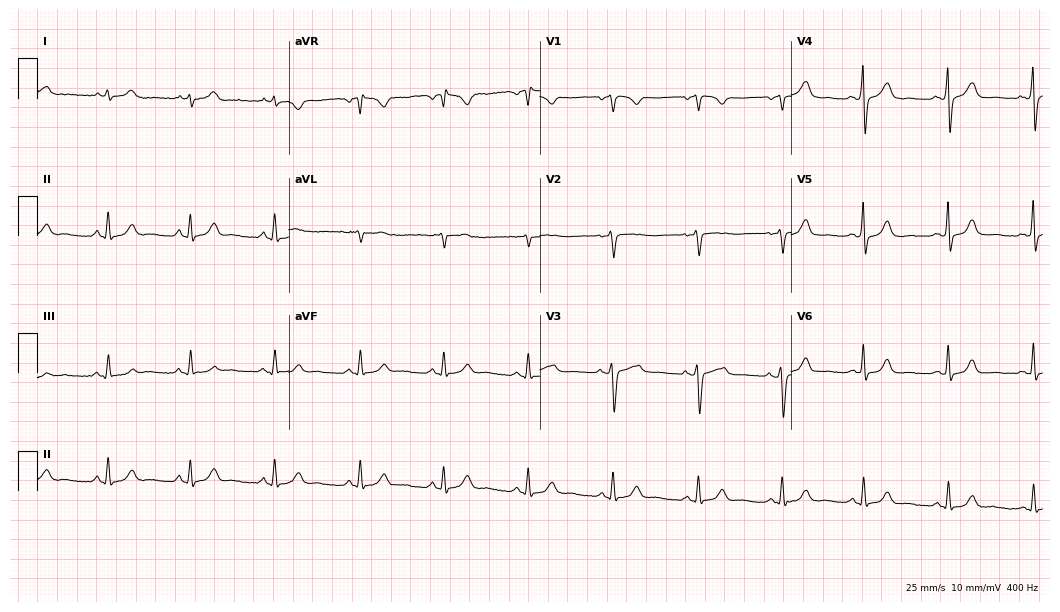
Electrocardiogram (10.2-second recording at 400 Hz), a woman, 51 years old. Overall reading on record: normal ECG.